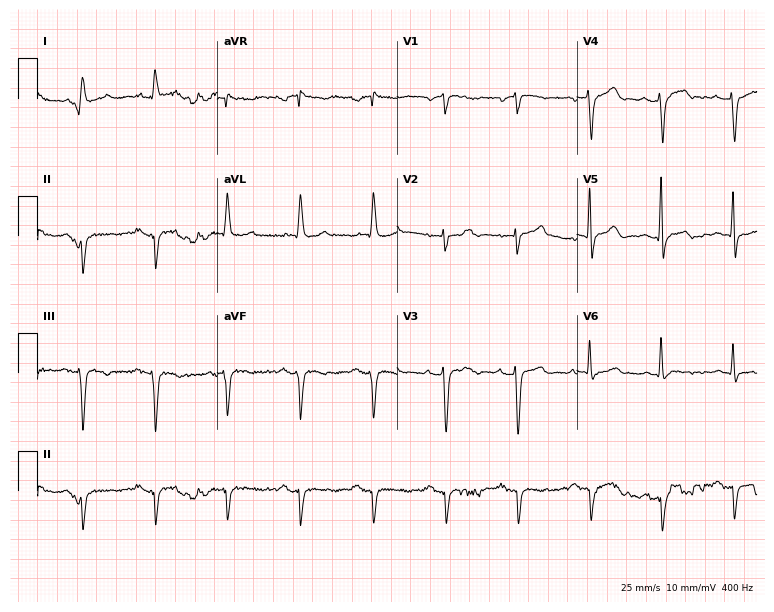
ECG (7.3-second recording at 400 Hz) — a male patient, 76 years old. Screened for six findings — first-degree AV block, right bundle branch block, left bundle branch block, sinus bradycardia, atrial fibrillation, sinus tachycardia — none is recorded.